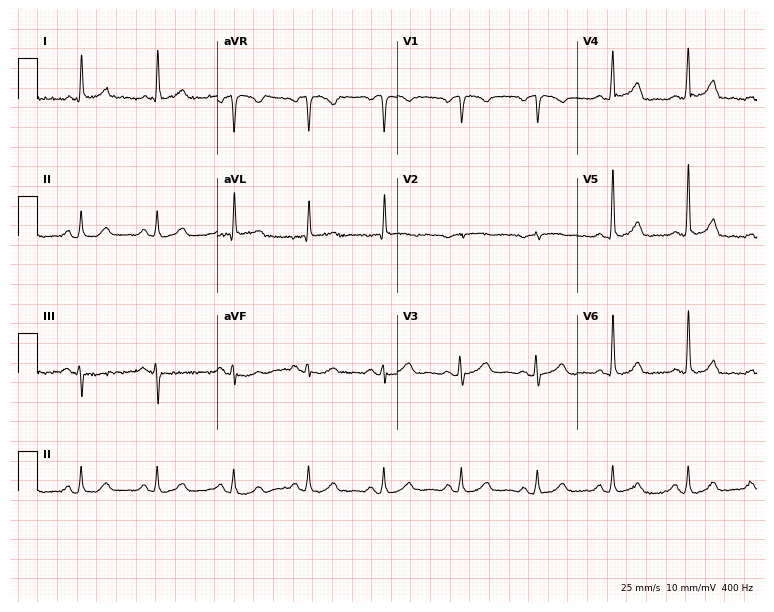
12-lead ECG from a woman, 79 years old (7.3-second recording at 400 Hz). Recorded interpretation: within normal limits.